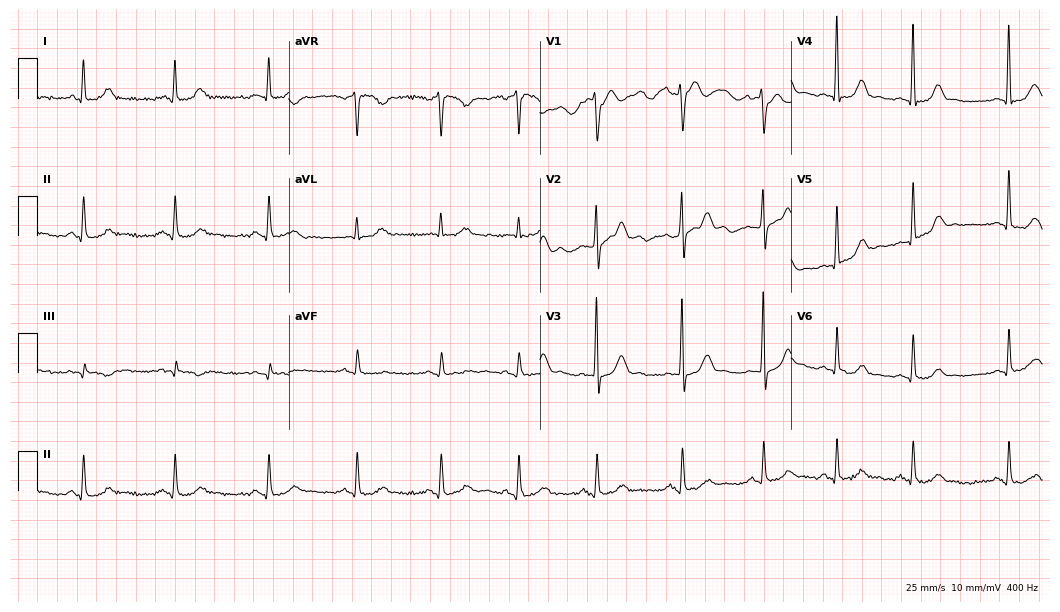
Standard 12-lead ECG recorded from a 34-year-old female patient (10.2-second recording at 400 Hz). None of these six findings is recorded: first-degree AV block, right bundle branch block (RBBB), left bundle branch block (LBBB), sinus bradycardia, atrial fibrillation (AF), sinus tachycardia. Findings outside these six are not listed.